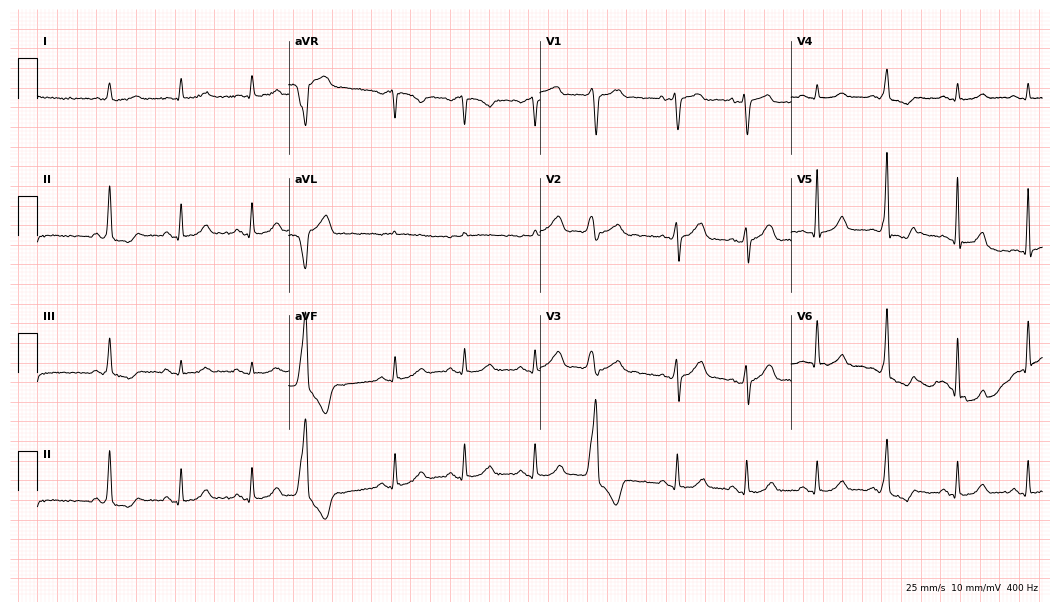
Resting 12-lead electrocardiogram. Patient: a 65-year-old male. None of these six findings is recorded: first-degree AV block, right bundle branch block, left bundle branch block, sinus bradycardia, atrial fibrillation, sinus tachycardia. Findings outside these six are not listed.